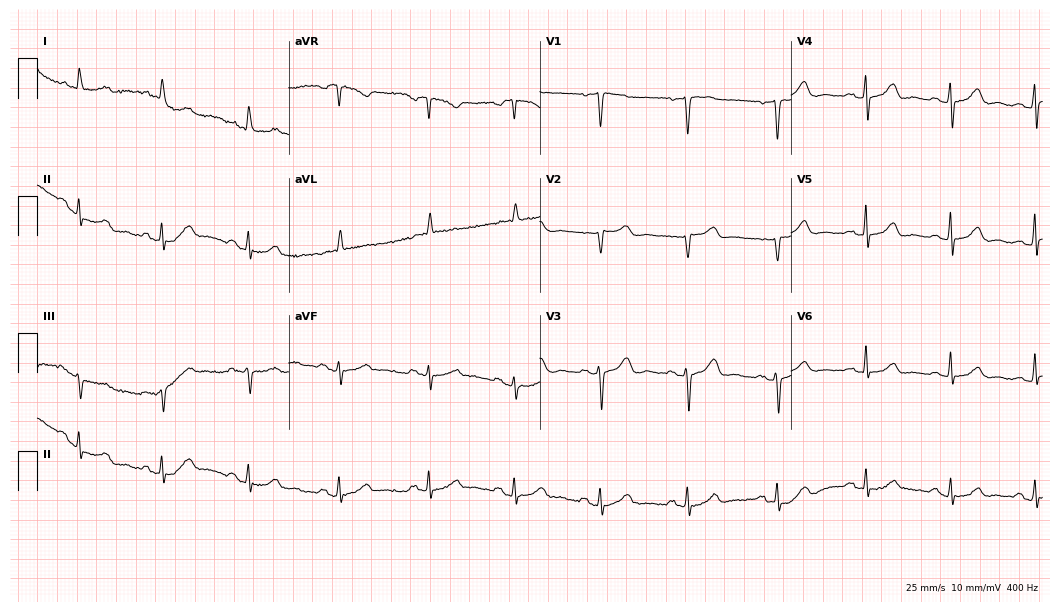
ECG — a 67-year-old female. Labelled as a normal ECG.